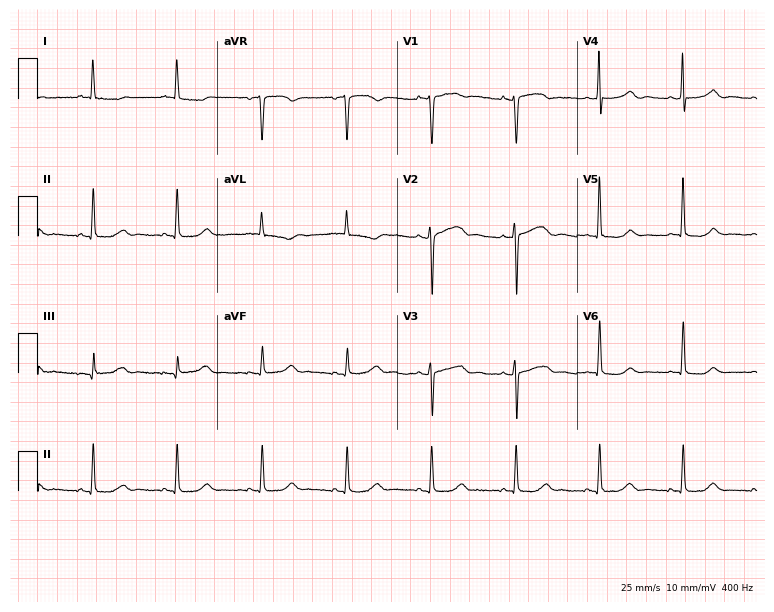
Electrocardiogram, a woman, 61 years old. Of the six screened findings (first-degree AV block, right bundle branch block, left bundle branch block, sinus bradycardia, atrial fibrillation, sinus tachycardia), none is recorded. Only these six findings were labelled.